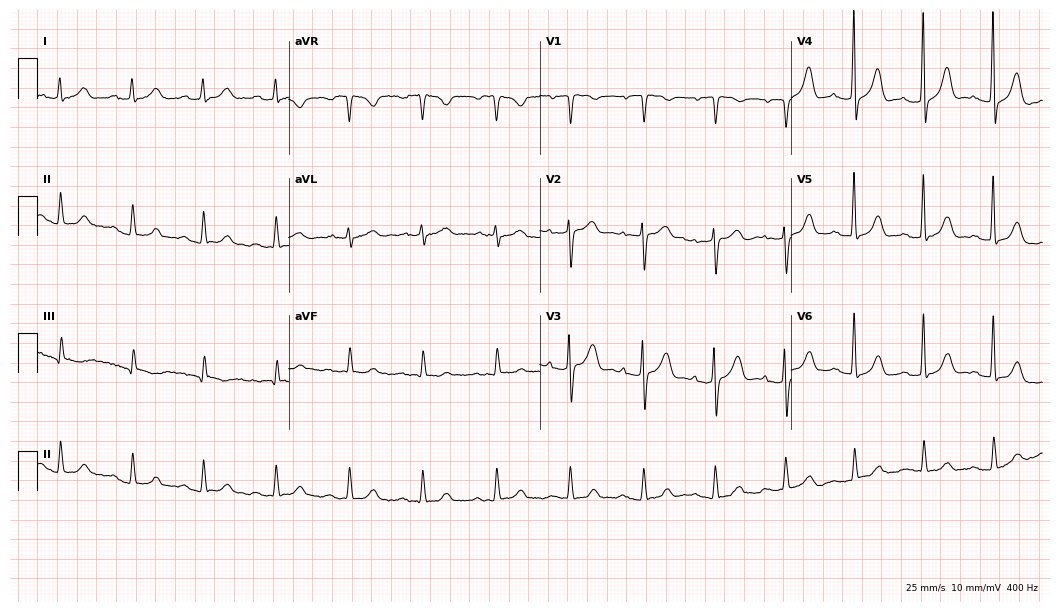
Electrocardiogram (10.2-second recording at 400 Hz), a man, 85 years old. Of the six screened findings (first-degree AV block, right bundle branch block, left bundle branch block, sinus bradycardia, atrial fibrillation, sinus tachycardia), none is recorded.